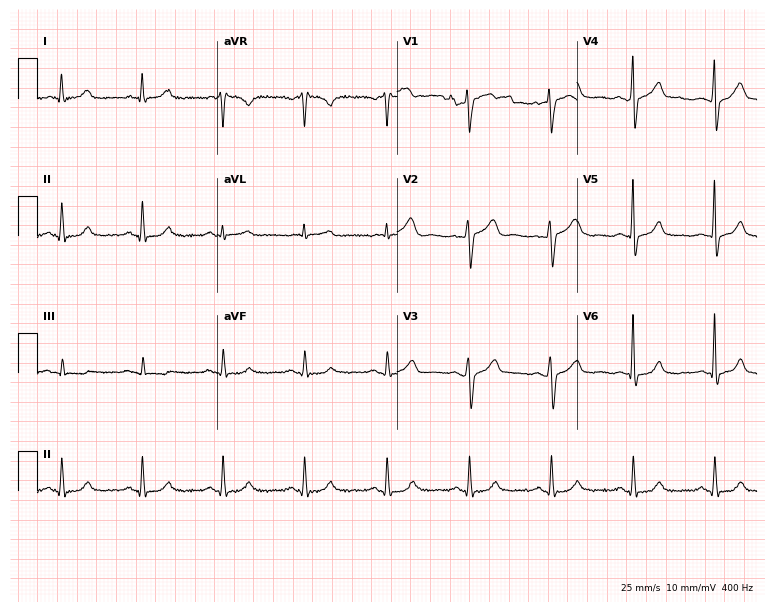
Electrocardiogram (7.3-second recording at 400 Hz), a 71-year-old man. Of the six screened findings (first-degree AV block, right bundle branch block (RBBB), left bundle branch block (LBBB), sinus bradycardia, atrial fibrillation (AF), sinus tachycardia), none is recorded. Findings outside these six are not listed.